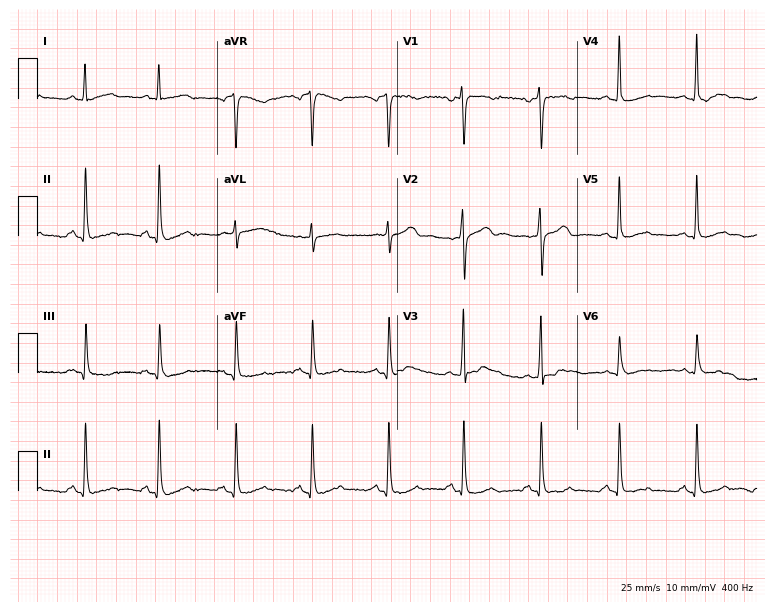
ECG (7.3-second recording at 400 Hz) — a woman, 54 years old. Screened for six findings — first-degree AV block, right bundle branch block, left bundle branch block, sinus bradycardia, atrial fibrillation, sinus tachycardia — none is recorded. Findings outside these six are not listed.